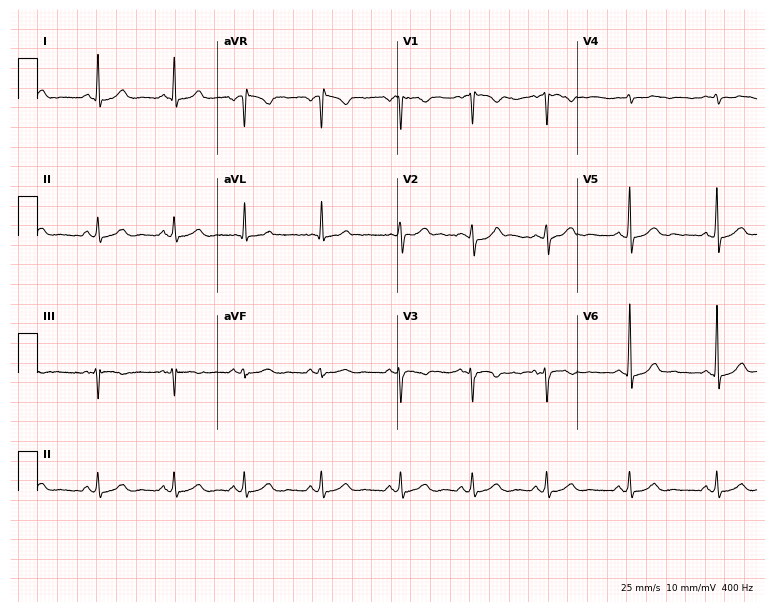
12-lead ECG from a 31-year-old female patient. Labelled as a normal ECG.